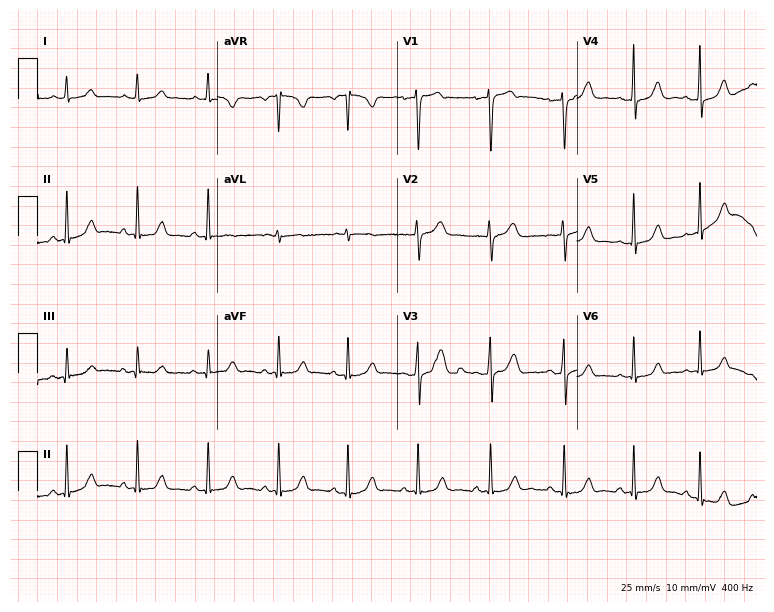
Resting 12-lead electrocardiogram. Patient: a female, 38 years old. Read as a normal ECG.